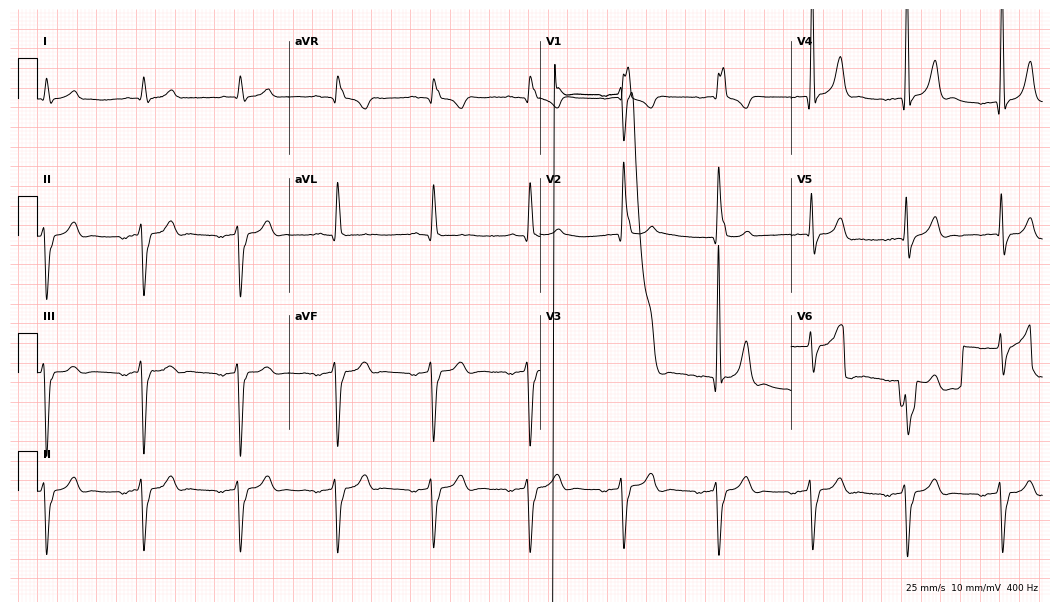
12-lead ECG (10.2-second recording at 400 Hz) from a 72-year-old male patient. Findings include right bundle branch block.